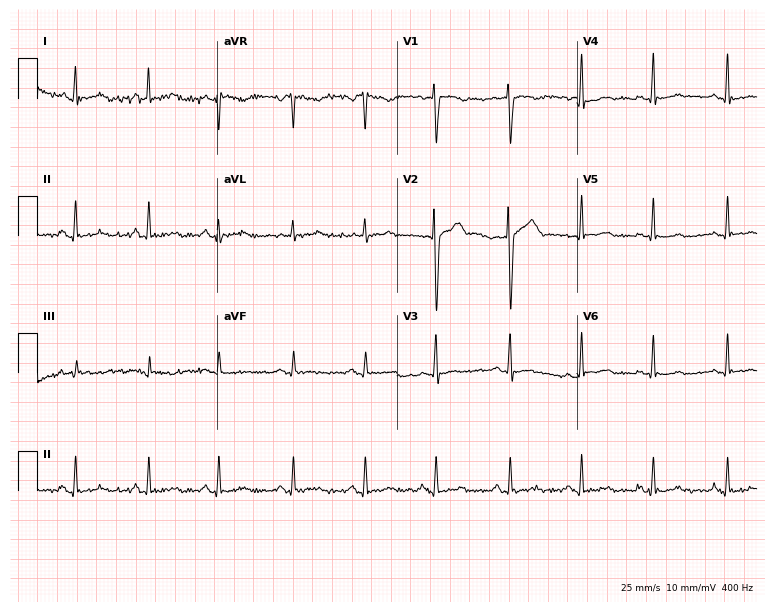
ECG — a 31-year-old female patient. Labelled as a normal ECG.